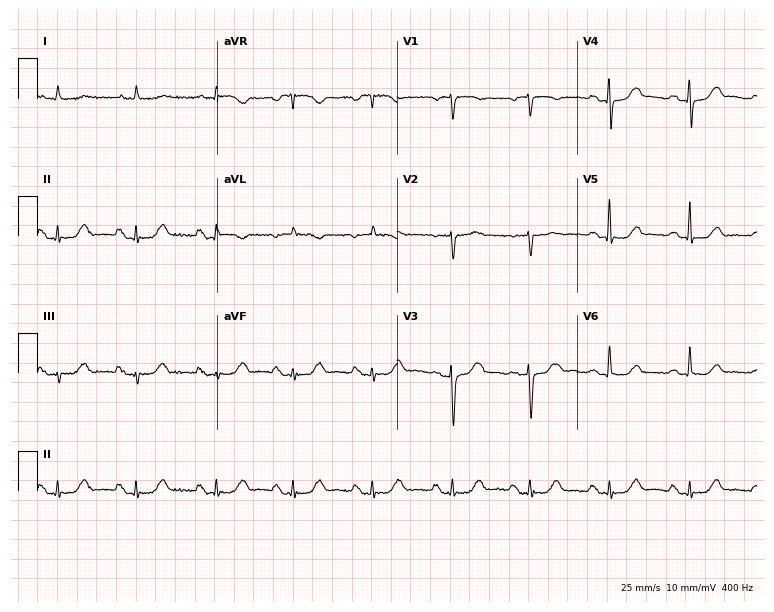
ECG (7.3-second recording at 400 Hz) — a female patient, 74 years old. Screened for six findings — first-degree AV block, right bundle branch block (RBBB), left bundle branch block (LBBB), sinus bradycardia, atrial fibrillation (AF), sinus tachycardia — none is recorded. Other findings, if any, are not listed.